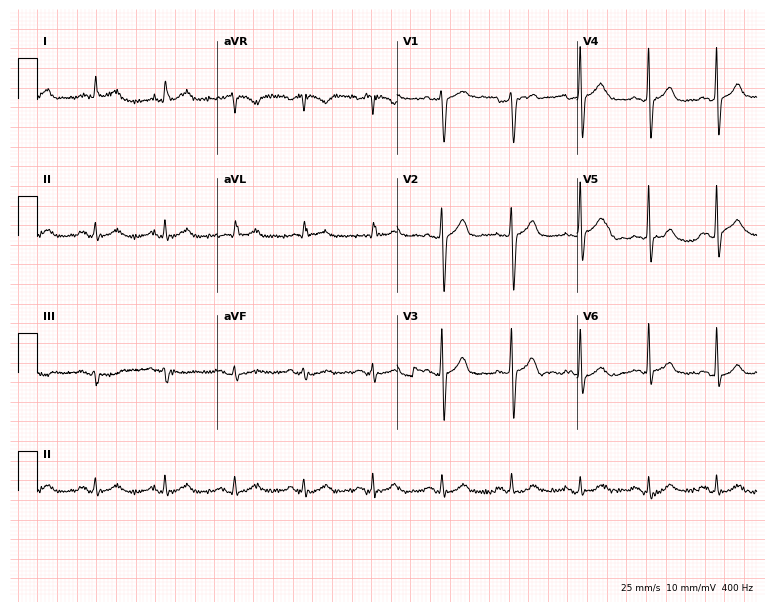
12-lead ECG (7.3-second recording at 400 Hz) from a 73-year-old man. Labelled as a normal ECG.